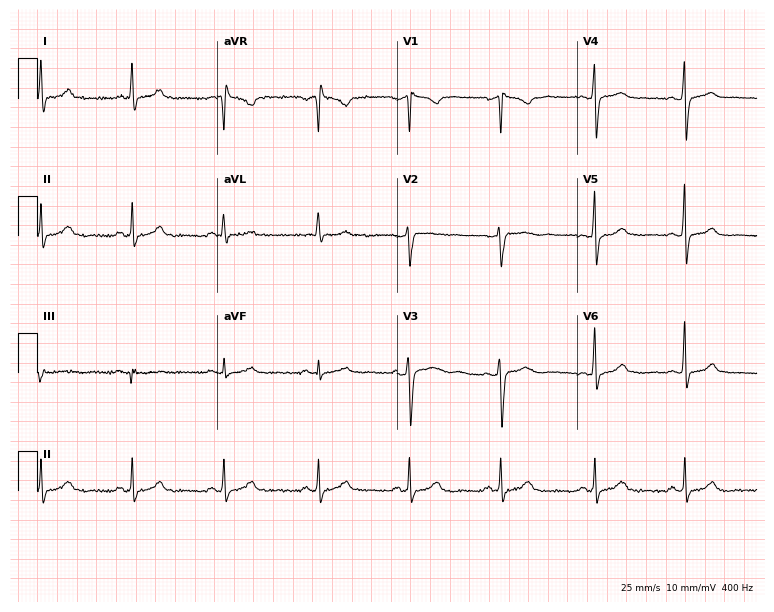
Resting 12-lead electrocardiogram (7.3-second recording at 400 Hz). Patient: a 43-year-old female. None of these six findings is recorded: first-degree AV block, right bundle branch block (RBBB), left bundle branch block (LBBB), sinus bradycardia, atrial fibrillation (AF), sinus tachycardia.